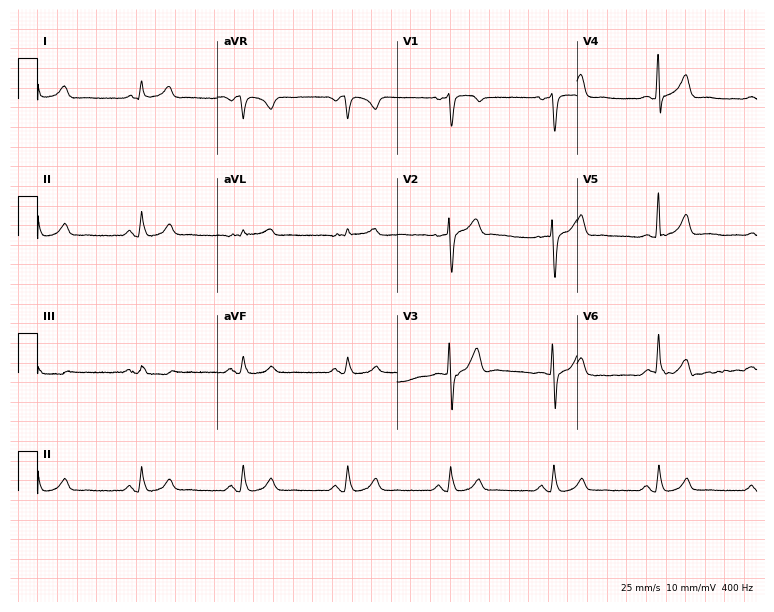
12-lead ECG from a 69-year-old man. Labelled as a normal ECG.